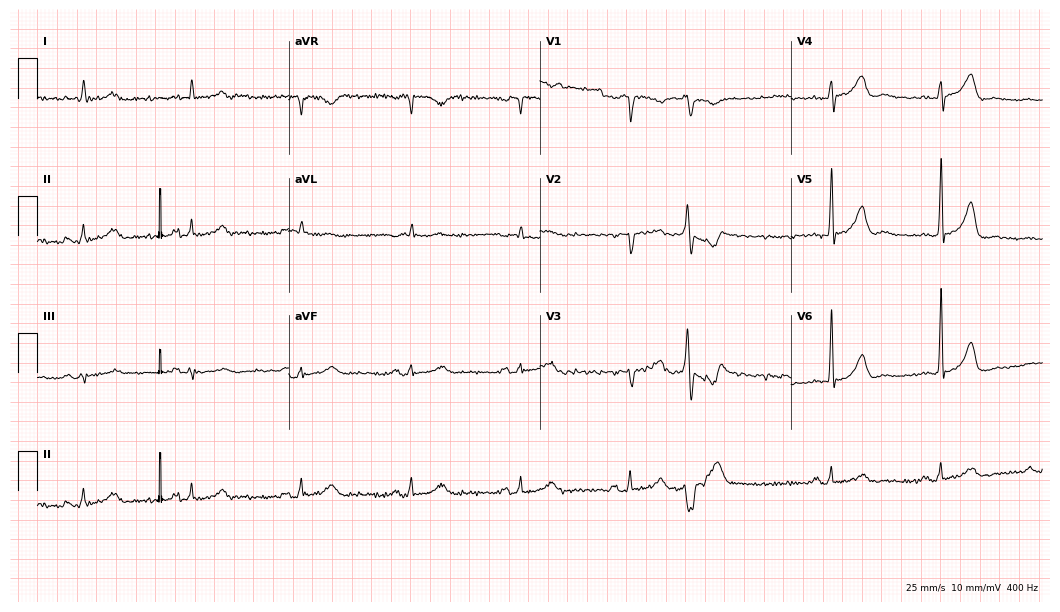
Resting 12-lead electrocardiogram. Patient: a male, 79 years old. Read as a normal ECG.